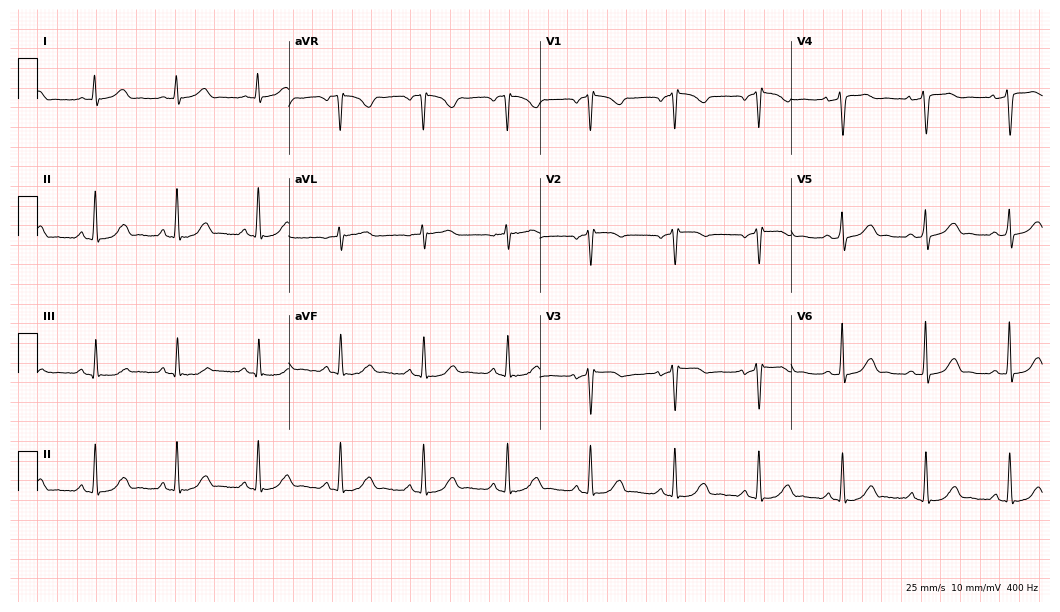
ECG (10.2-second recording at 400 Hz) — a 49-year-old woman. Screened for six findings — first-degree AV block, right bundle branch block, left bundle branch block, sinus bradycardia, atrial fibrillation, sinus tachycardia — none is recorded.